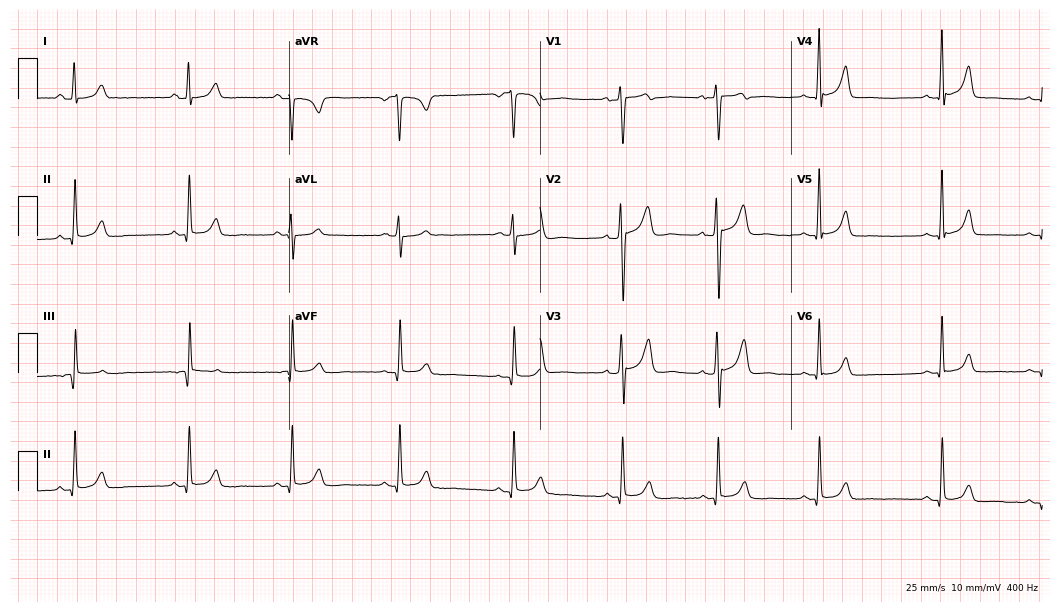
12-lead ECG from a female, 30 years old. No first-degree AV block, right bundle branch block, left bundle branch block, sinus bradycardia, atrial fibrillation or sinus tachycardia recorded for this tracing. Only these six findings were labelled.